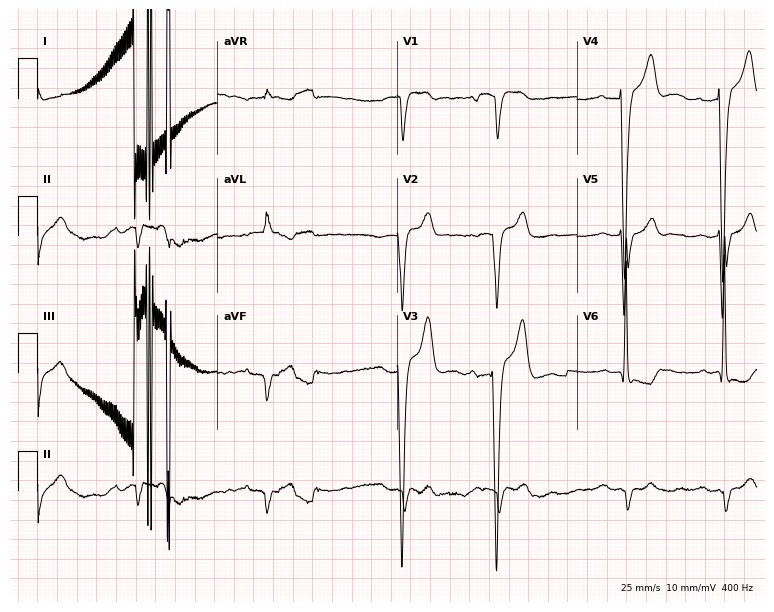
Electrocardiogram, a male, 82 years old. Interpretation includes first-degree AV block.